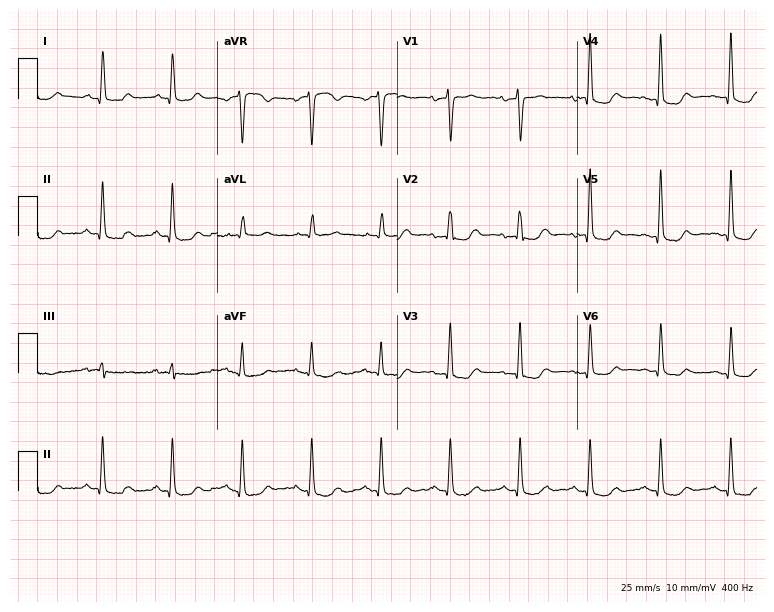
ECG (7.3-second recording at 400 Hz) — an 85-year-old female patient. Screened for six findings — first-degree AV block, right bundle branch block (RBBB), left bundle branch block (LBBB), sinus bradycardia, atrial fibrillation (AF), sinus tachycardia — none is recorded. Other findings, if any, are not listed.